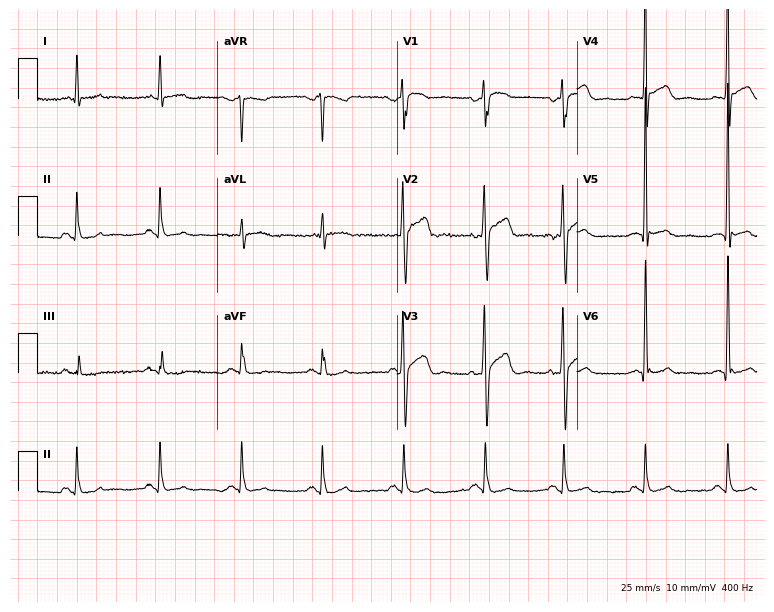
12-lead ECG from a man, 69 years old. Screened for six findings — first-degree AV block, right bundle branch block (RBBB), left bundle branch block (LBBB), sinus bradycardia, atrial fibrillation (AF), sinus tachycardia — none is recorded. Findings outside these six are not listed.